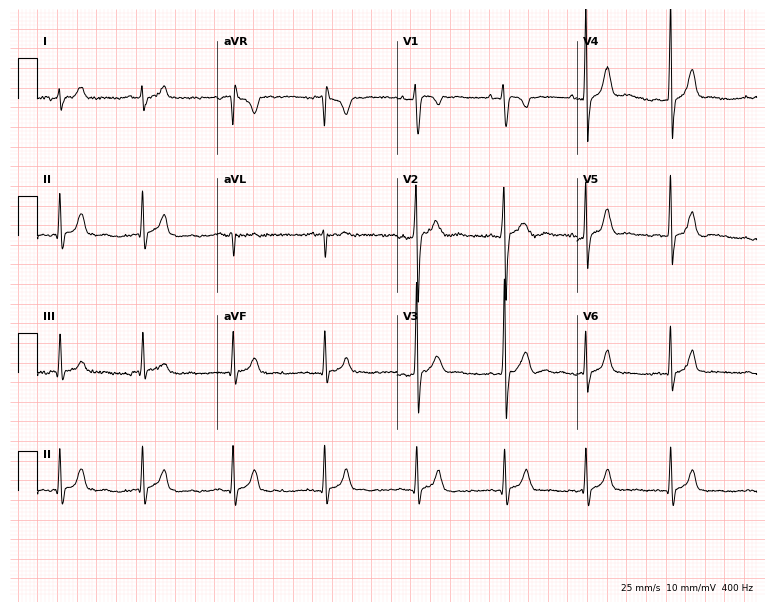
12-lead ECG from an 18-year-old female. Labelled as a normal ECG.